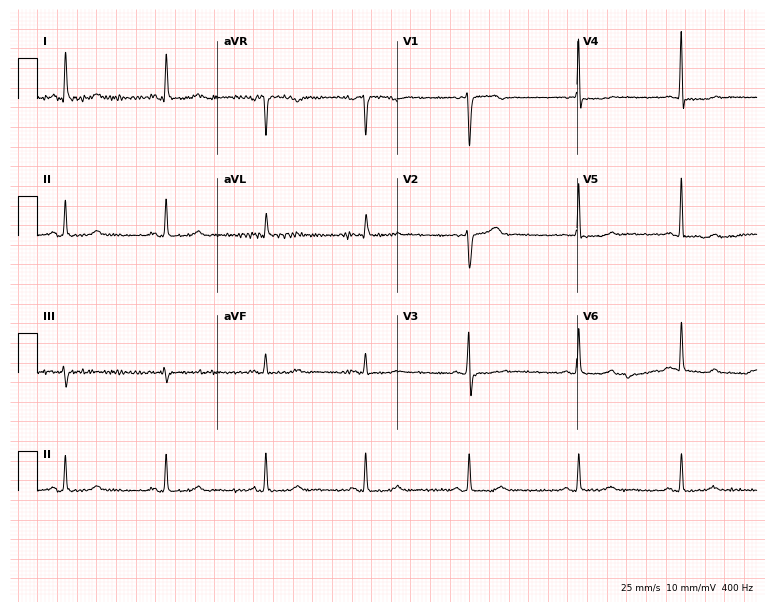
12-lead ECG from a woman, 57 years old. Screened for six findings — first-degree AV block, right bundle branch block, left bundle branch block, sinus bradycardia, atrial fibrillation, sinus tachycardia — none is recorded.